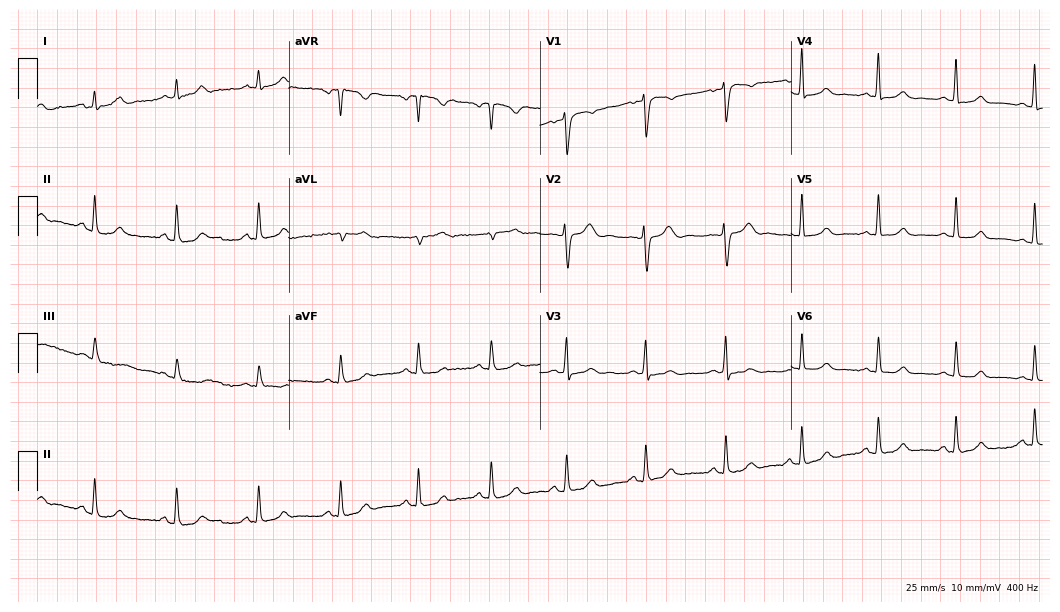
12-lead ECG from a female, 45 years old (10.2-second recording at 400 Hz). No first-degree AV block, right bundle branch block, left bundle branch block, sinus bradycardia, atrial fibrillation or sinus tachycardia recorded for this tracing. Other findings, if any, are not listed.